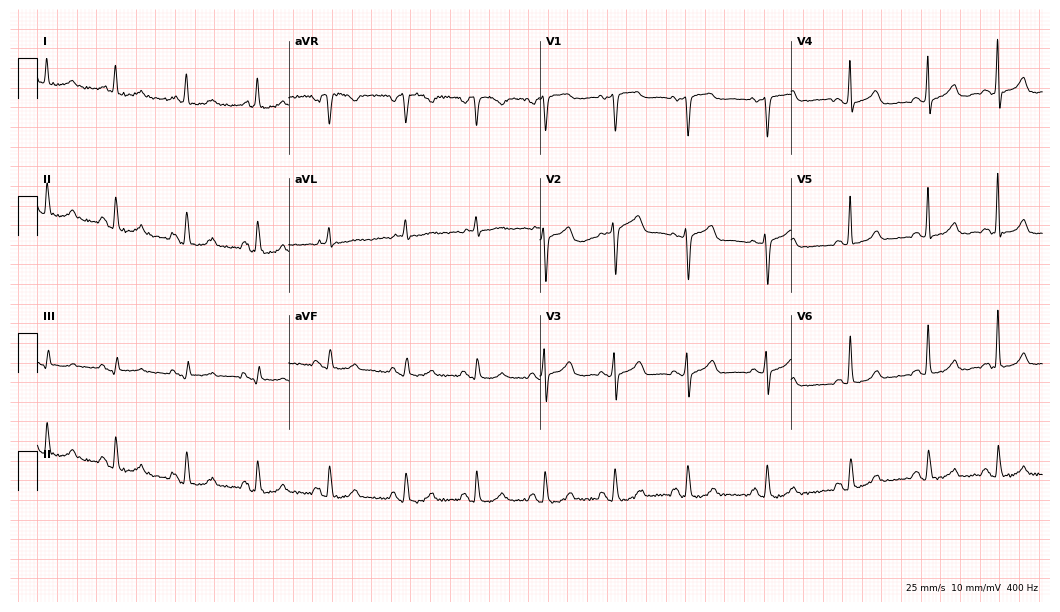
Resting 12-lead electrocardiogram. Patient: a 64-year-old female. Read as a normal ECG.